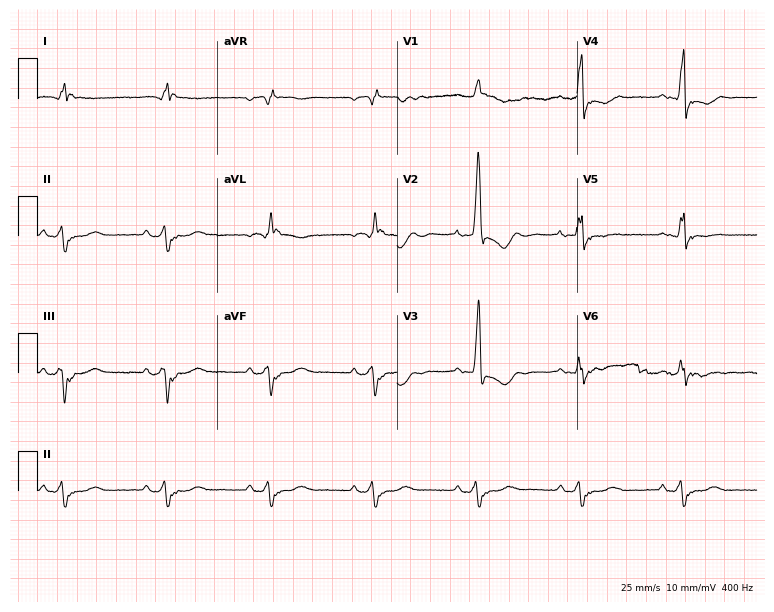
12-lead ECG from a male, 75 years old. Screened for six findings — first-degree AV block, right bundle branch block, left bundle branch block, sinus bradycardia, atrial fibrillation, sinus tachycardia — none is recorded.